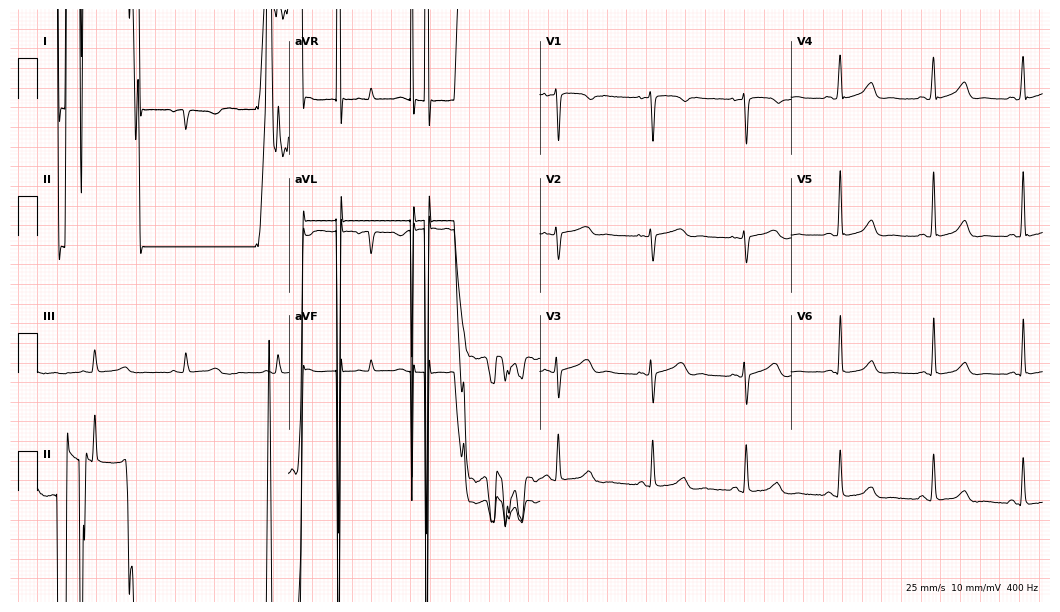
Standard 12-lead ECG recorded from a 44-year-old female patient (10.2-second recording at 400 Hz). None of these six findings is recorded: first-degree AV block, right bundle branch block, left bundle branch block, sinus bradycardia, atrial fibrillation, sinus tachycardia. Findings outside these six are not listed.